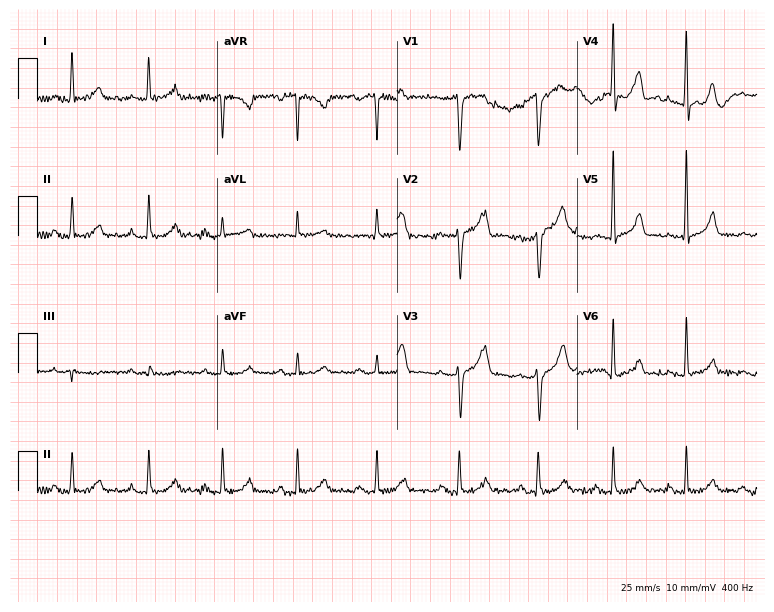
12-lead ECG from a 71-year-old male. Labelled as a normal ECG.